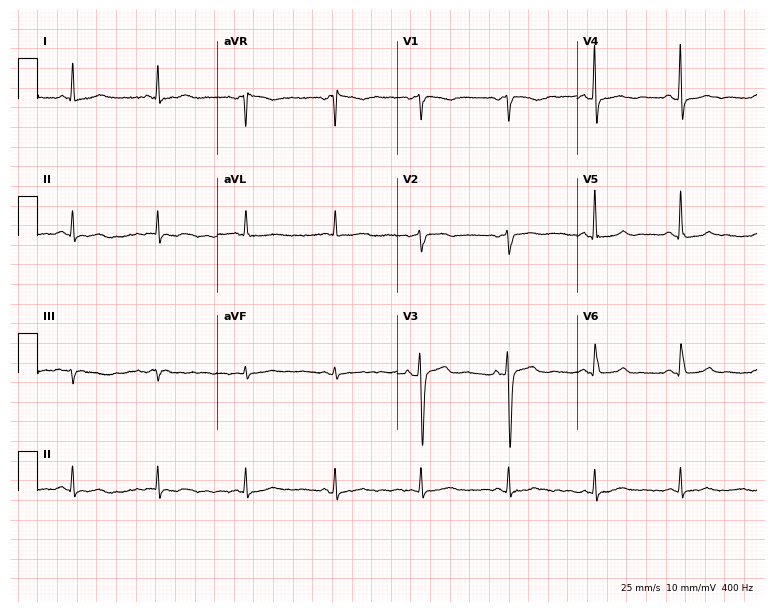
Electrocardiogram, a 65-year-old female. Of the six screened findings (first-degree AV block, right bundle branch block (RBBB), left bundle branch block (LBBB), sinus bradycardia, atrial fibrillation (AF), sinus tachycardia), none is recorded. Only these six findings were labelled.